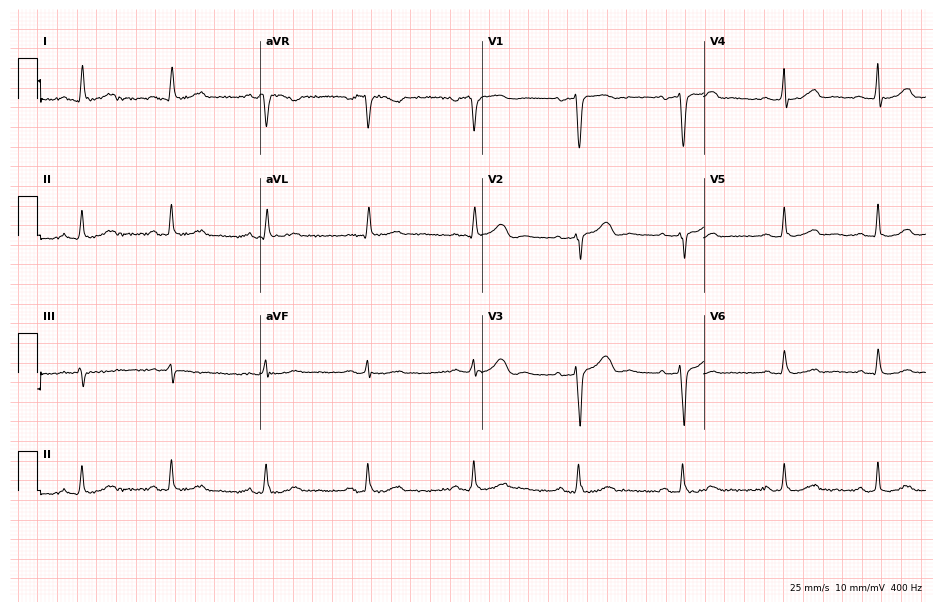
Electrocardiogram (9.1-second recording at 400 Hz), a female patient, 34 years old. Overall reading on record: normal ECG.